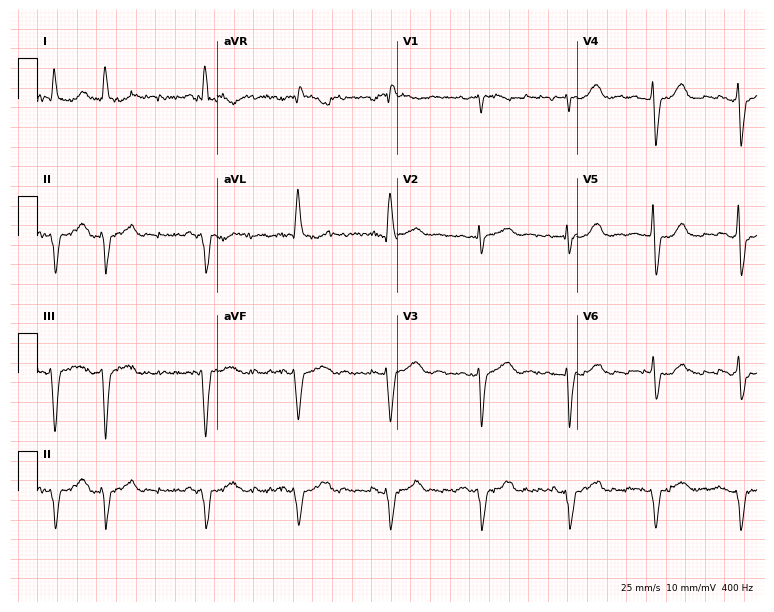
ECG — a male, 85 years old. Screened for six findings — first-degree AV block, right bundle branch block, left bundle branch block, sinus bradycardia, atrial fibrillation, sinus tachycardia — none is recorded. Findings outside these six are not listed.